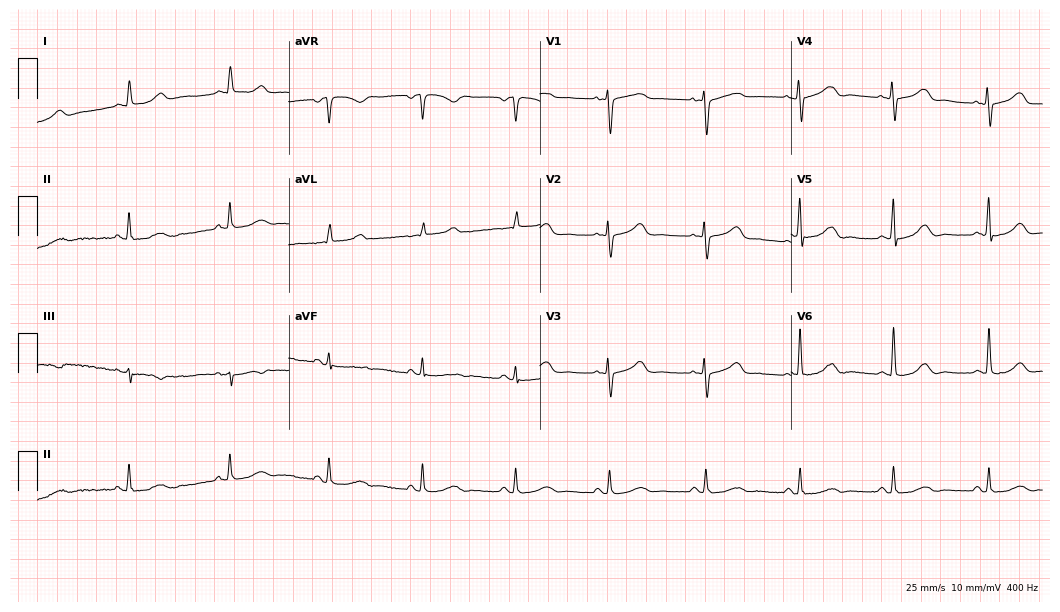
Resting 12-lead electrocardiogram. Patient: a 73-year-old female. Read as a normal ECG.